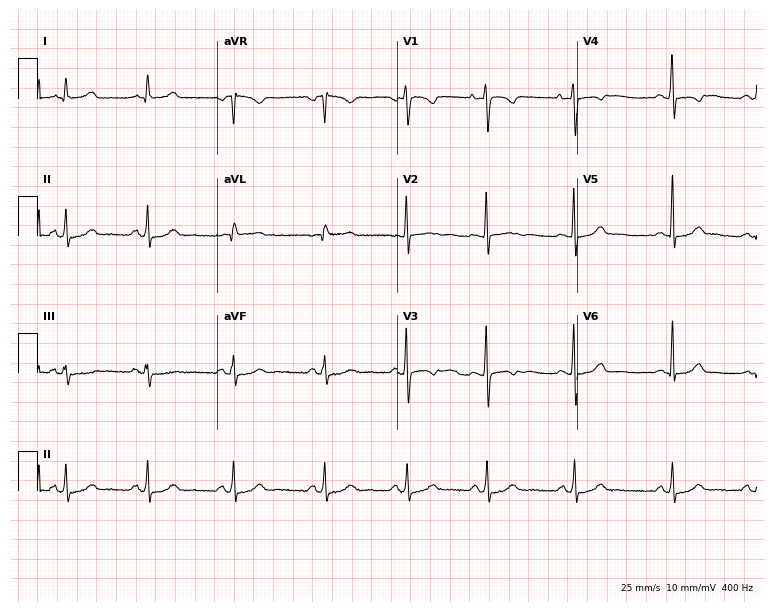
ECG — a female patient, 23 years old. Labelled as a normal ECG.